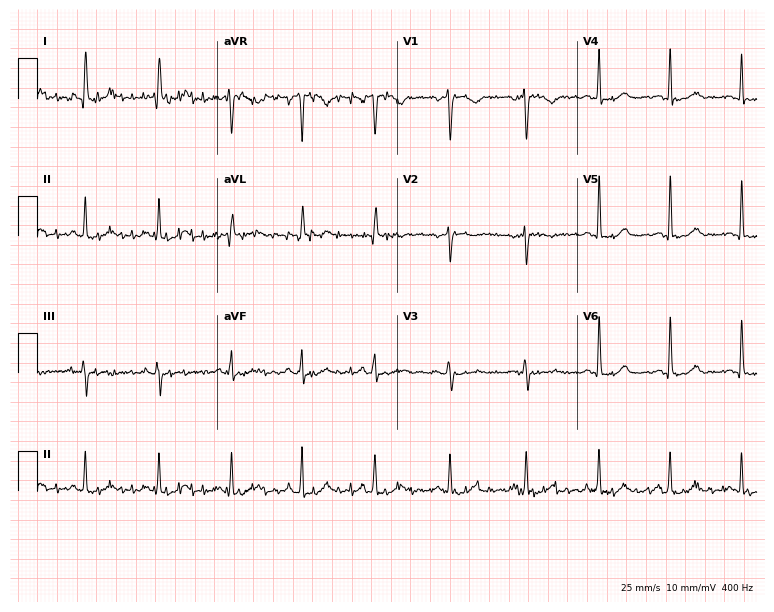
12-lead ECG from a female, 48 years old (7.3-second recording at 400 Hz). Recorded interpretation: within normal limits.